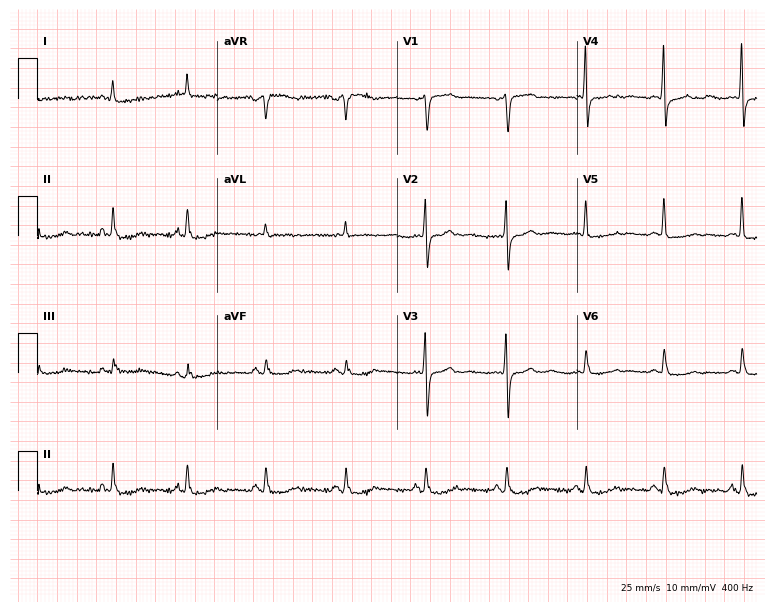
ECG — a female, 64 years old. Screened for six findings — first-degree AV block, right bundle branch block (RBBB), left bundle branch block (LBBB), sinus bradycardia, atrial fibrillation (AF), sinus tachycardia — none is recorded.